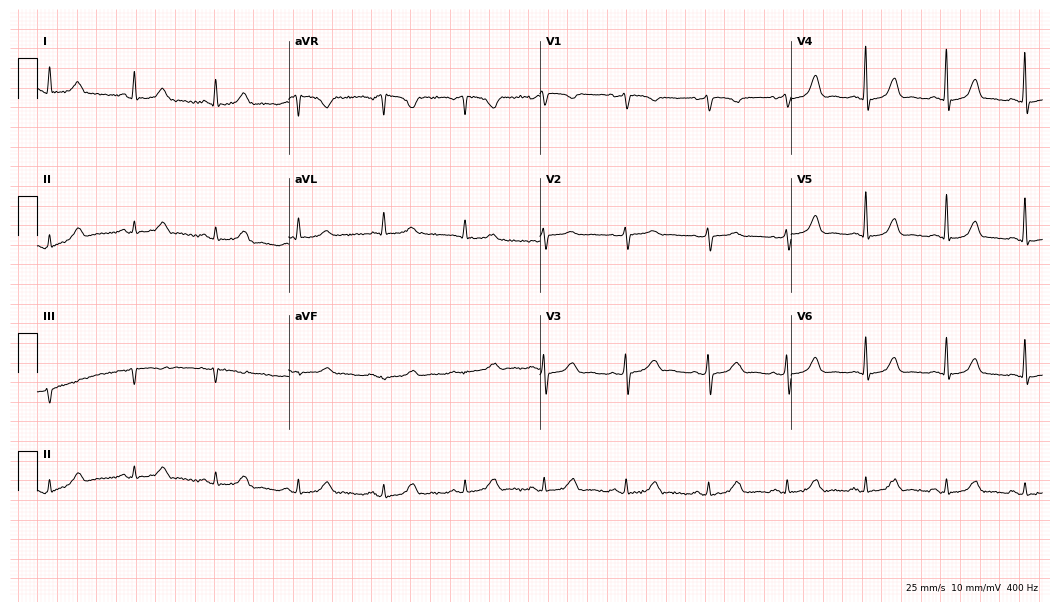
Standard 12-lead ECG recorded from a female, 65 years old. None of these six findings is recorded: first-degree AV block, right bundle branch block, left bundle branch block, sinus bradycardia, atrial fibrillation, sinus tachycardia.